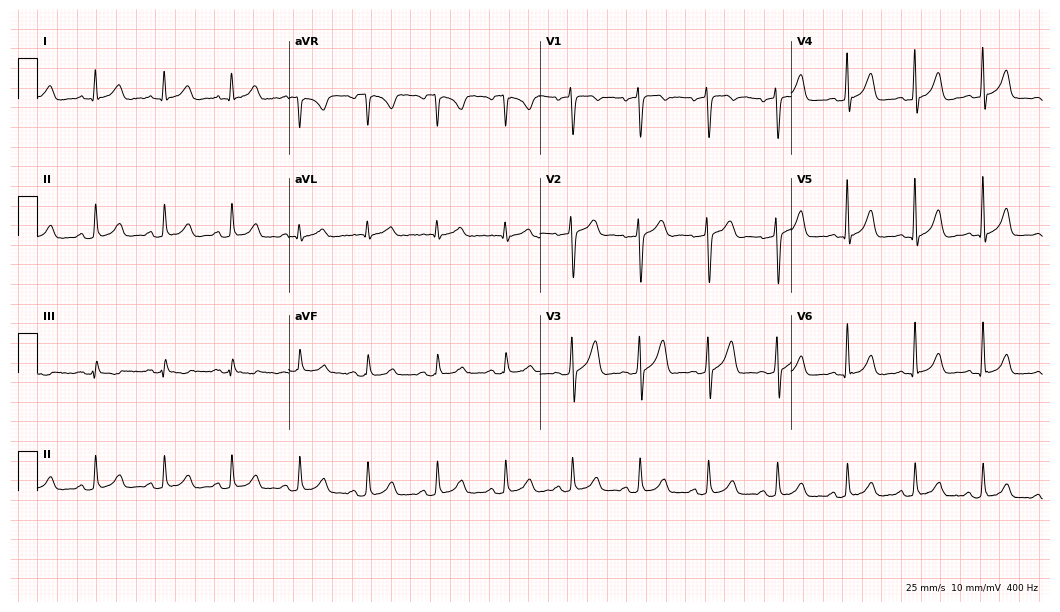
12-lead ECG from a male patient, 47 years old. Recorded interpretation: within normal limits.